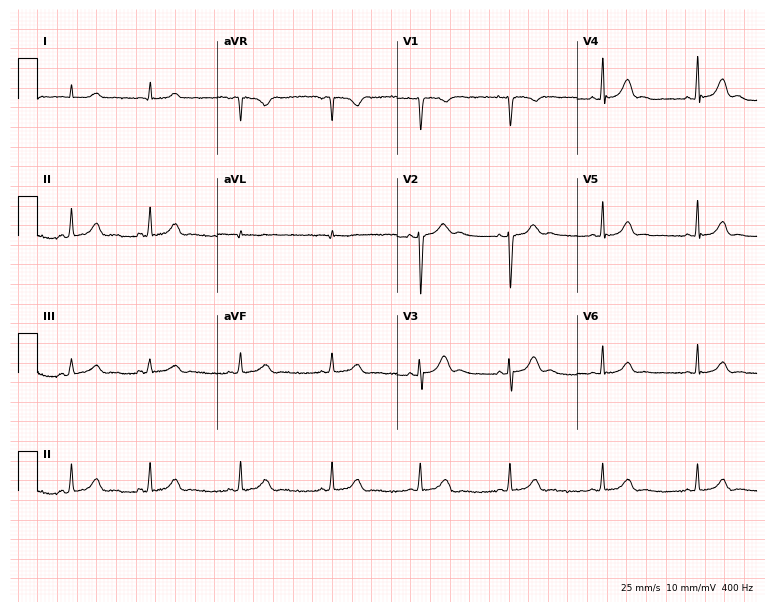
Resting 12-lead electrocardiogram. Patient: a woman, 25 years old. Read as a normal ECG.